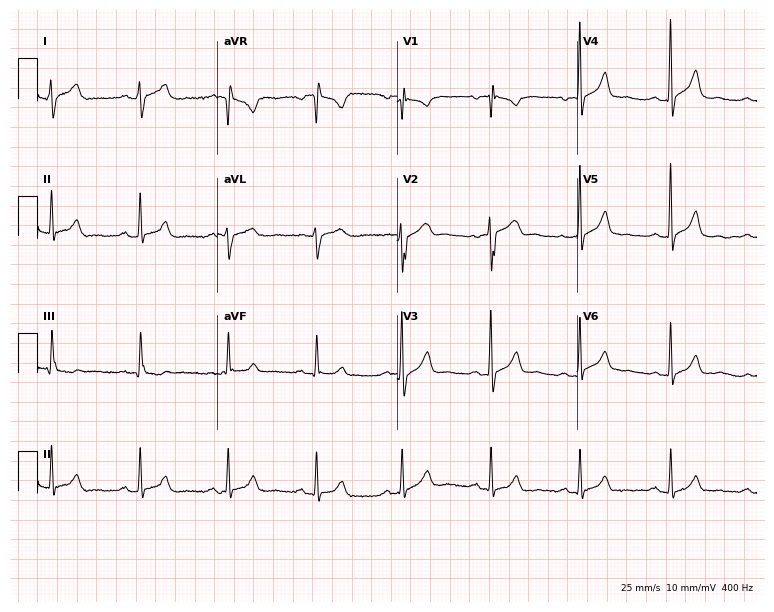
Resting 12-lead electrocardiogram (7.3-second recording at 400 Hz). Patient: a man, 38 years old. Read as a normal ECG.